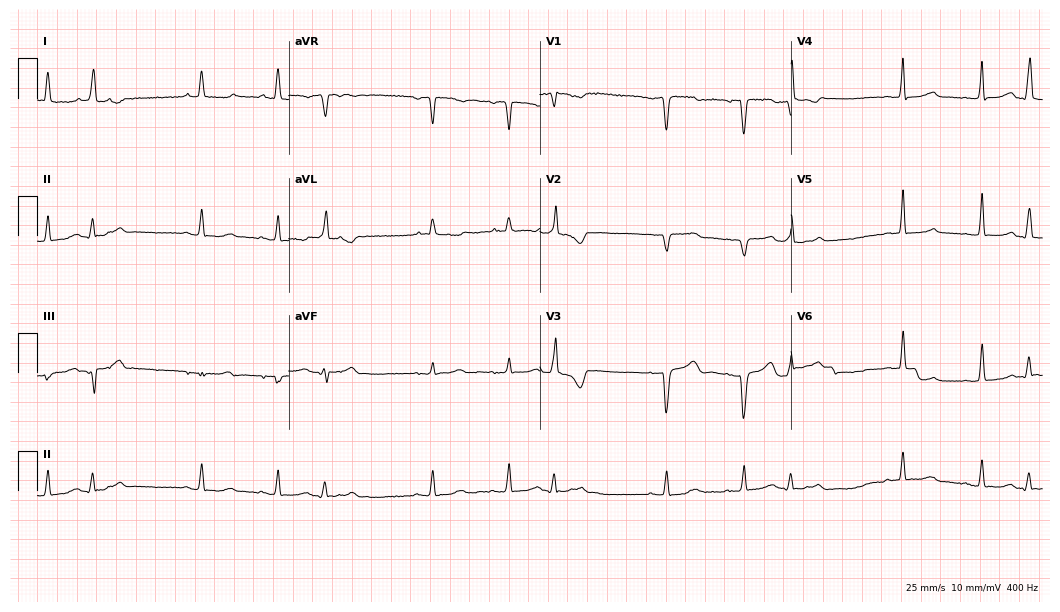
12-lead ECG (10.2-second recording at 400 Hz) from a woman, 67 years old. Screened for six findings — first-degree AV block, right bundle branch block, left bundle branch block, sinus bradycardia, atrial fibrillation, sinus tachycardia — none is recorded. Only these six findings were labelled.